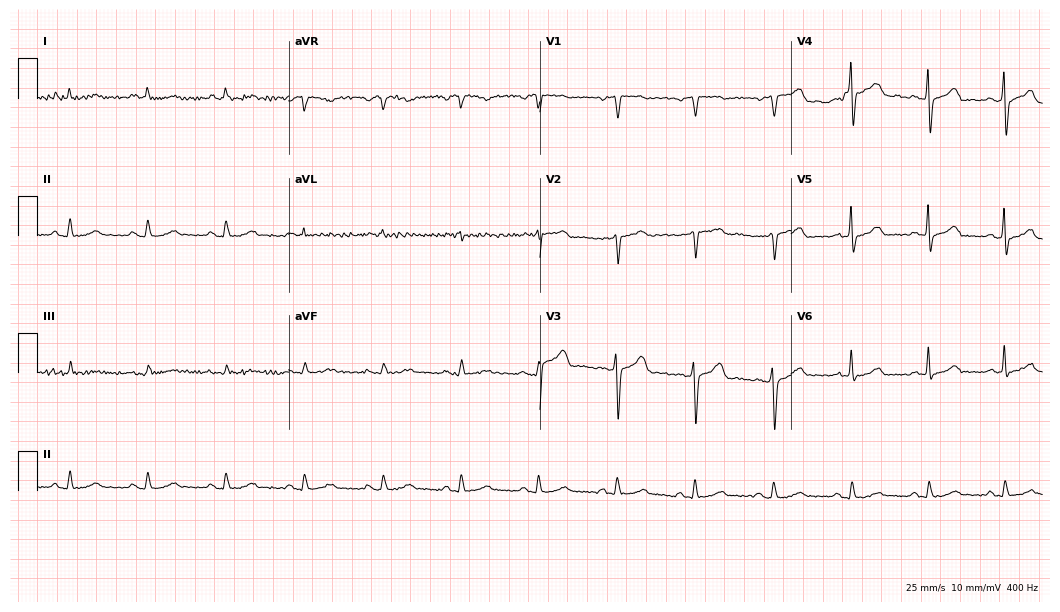
12-lead ECG from a 71-year-old man (10.2-second recording at 400 Hz). Recorded interpretation: within normal limits.